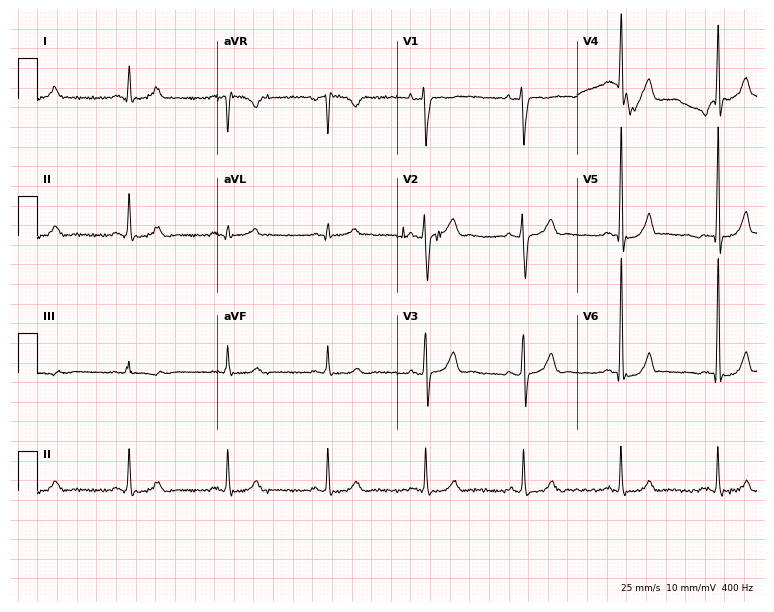
ECG — a male patient, 33 years old. Screened for six findings — first-degree AV block, right bundle branch block, left bundle branch block, sinus bradycardia, atrial fibrillation, sinus tachycardia — none is recorded.